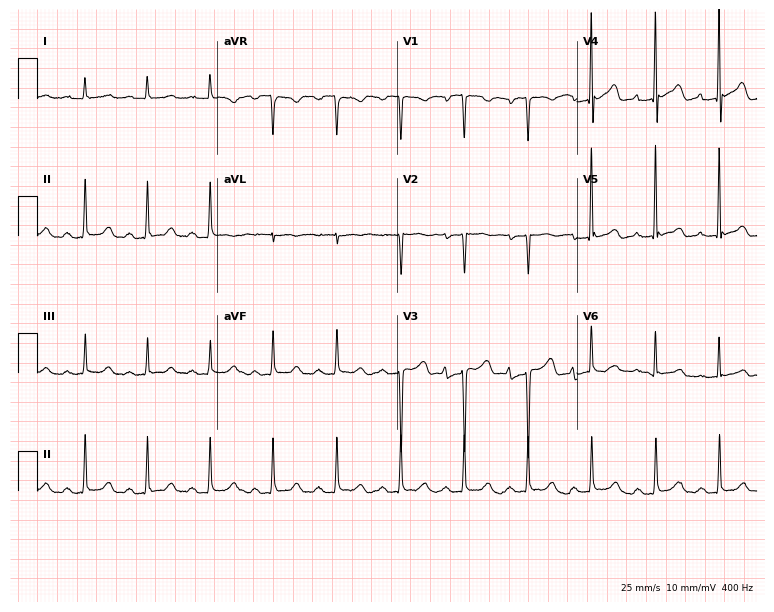
Resting 12-lead electrocardiogram. Patient: a woman, 75 years old. None of these six findings is recorded: first-degree AV block, right bundle branch block, left bundle branch block, sinus bradycardia, atrial fibrillation, sinus tachycardia. Only these six findings were labelled.